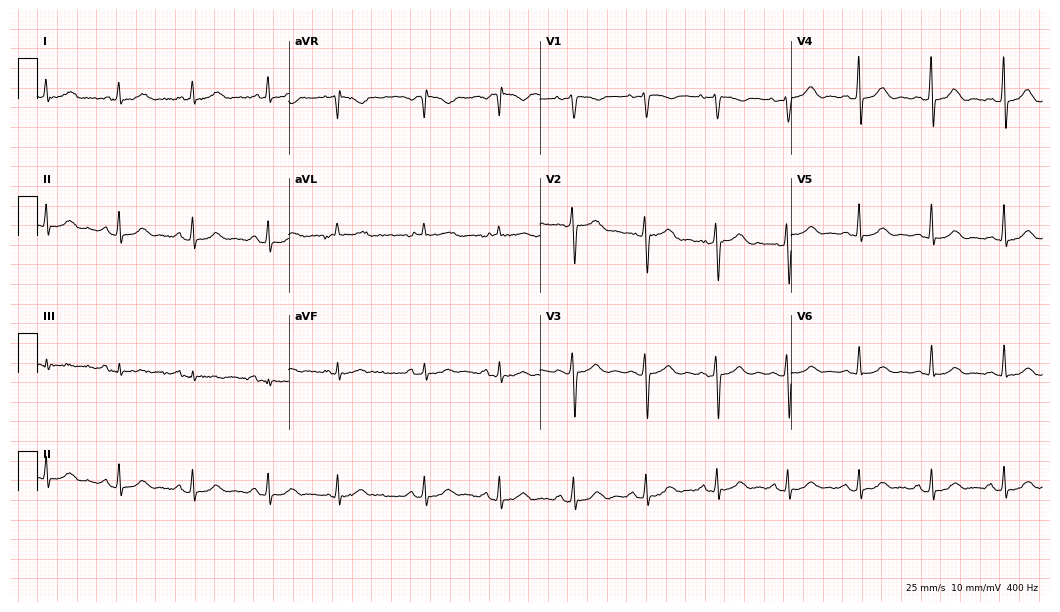
ECG (10.2-second recording at 400 Hz) — a female, 78 years old. Labelled as a normal ECG.